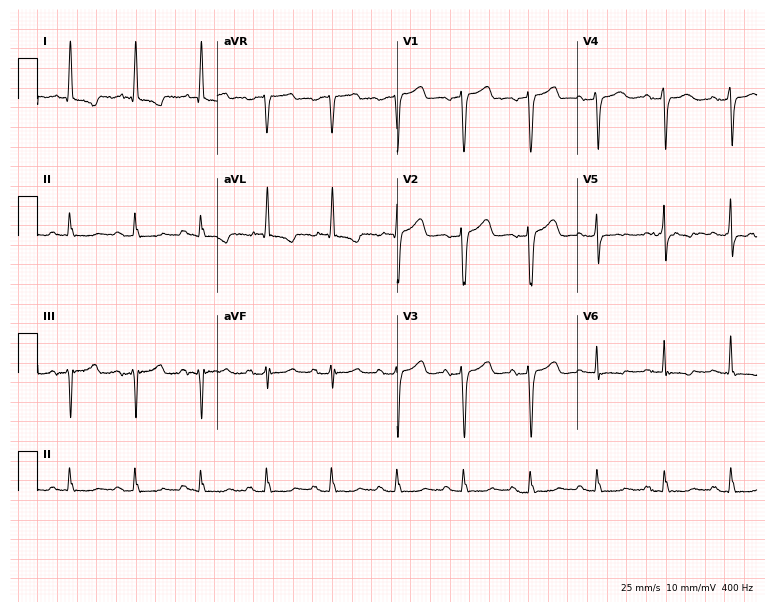
Resting 12-lead electrocardiogram. Patient: a female, 79 years old. None of these six findings is recorded: first-degree AV block, right bundle branch block (RBBB), left bundle branch block (LBBB), sinus bradycardia, atrial fibrillation (AF), sinus tachycardia. Only these six findings were labelled.